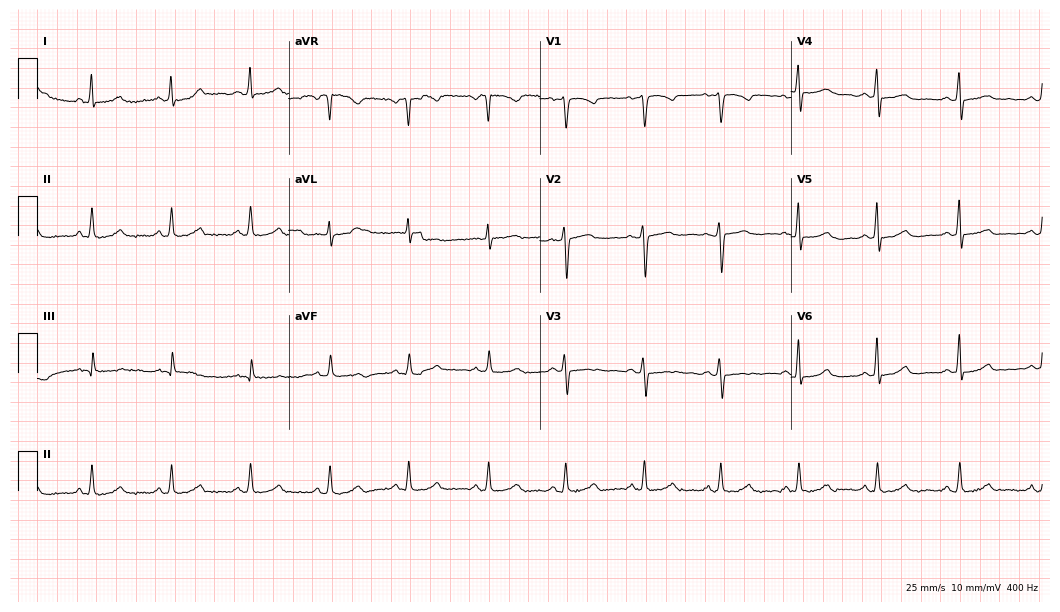
Standard 12-lead ECG recorded from a female, 46 years old (10.2-second recording at 400 Hz). Read as a normal ECG.